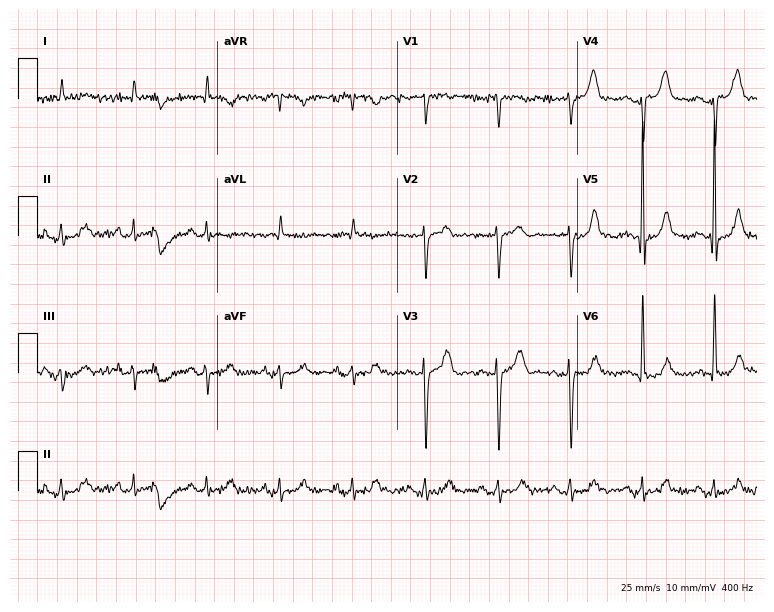
ECG — a man, 85 years old. Screened for six findings — first-degree AV block, right bundle branch block, left bundle branch block, sinus bradycardia, atrial fibrillation, sinus tachycardia — none is recorded.